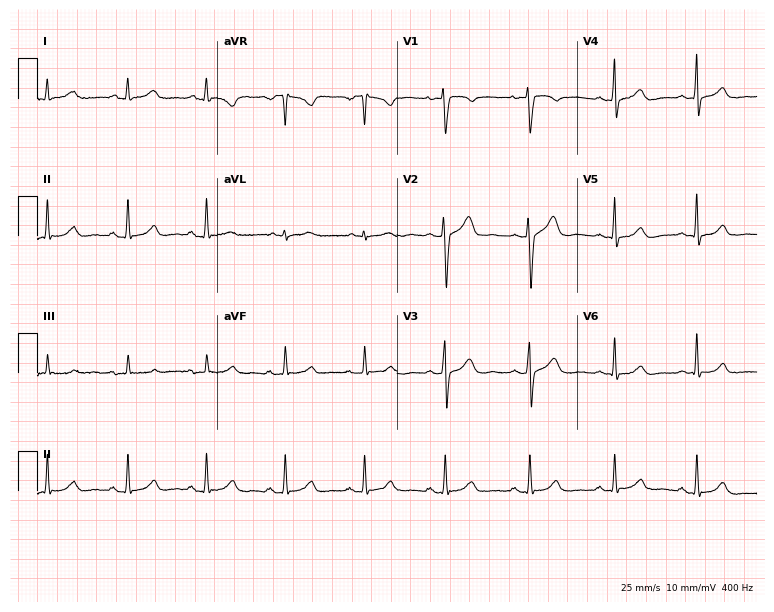
Resting 12-lead electrocardiogram. Patient: a 31-year-old male. Read as a normal ECG.